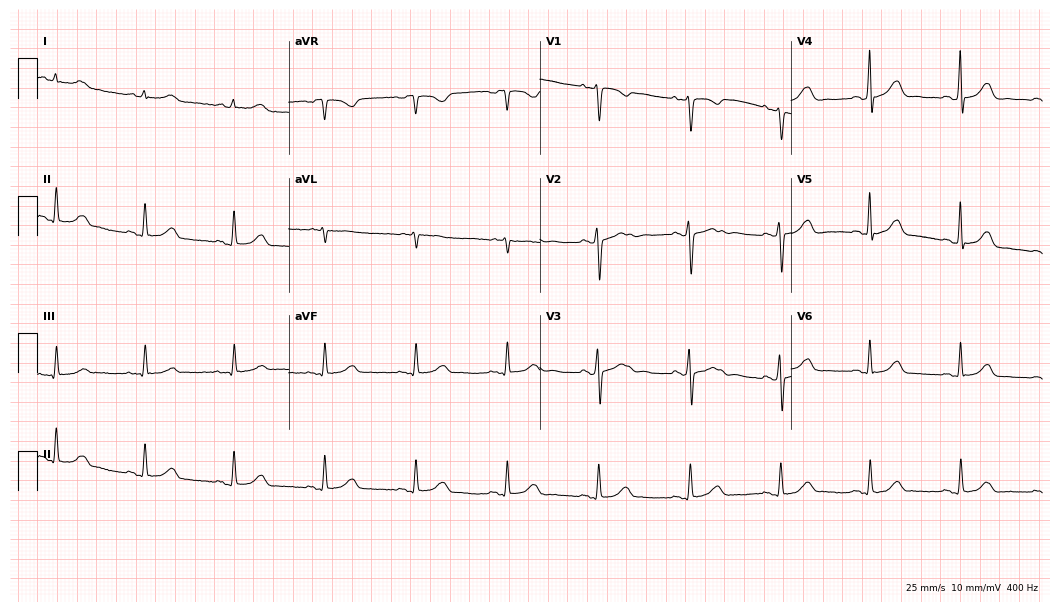
ECG — a 47-year-old female patient. Labelled as a normal ECG.